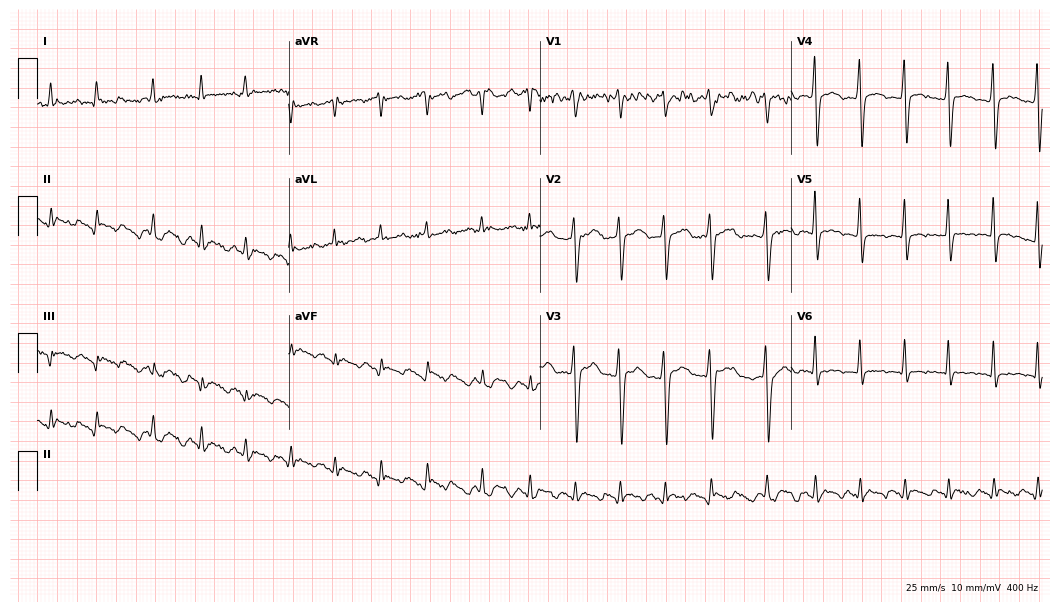
12-lead ECG from a male, 57 years old. No first-degree AV block, right bundle branch block, left bundle branch block, sinus bradycardia, atrial fibrillation or sinus tachycardia recorded for this tracing.